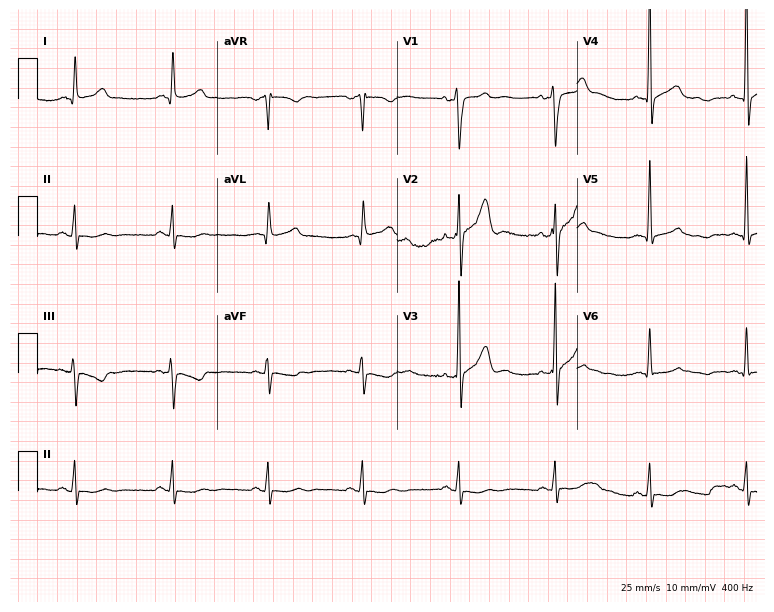
12-lead ECG from a 53-year-old man. Labelled as a normal ECG.